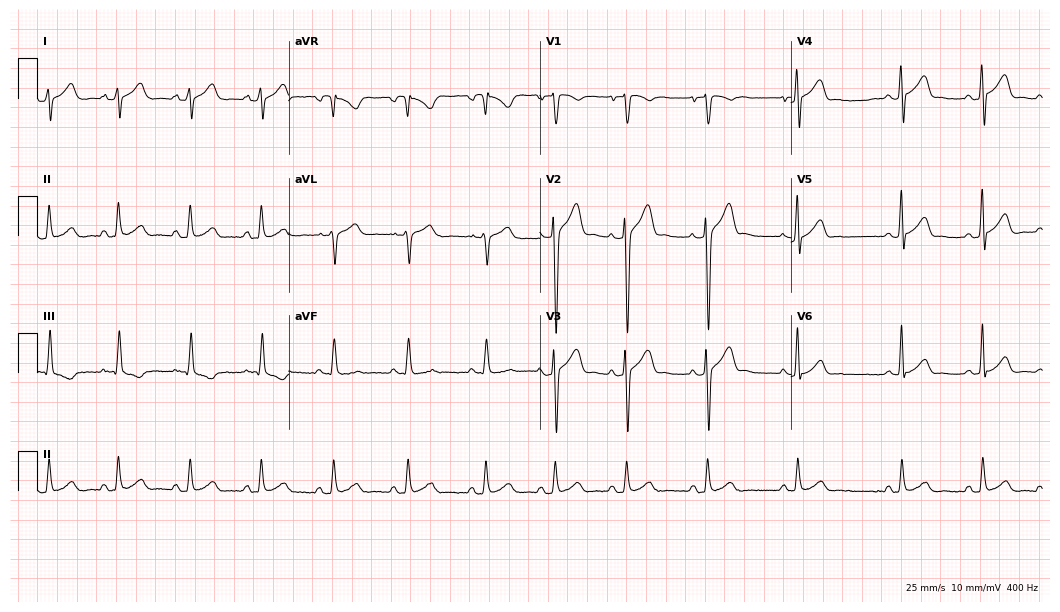
12-lead ECG from a woman, 25 years old. Screened for six findings — first-degree AV block, right bundle branch block, left bundle branch block, sinus bradycardia, atrial fibrillation, sinus tachycardia — none is recorded. Findings outside these six are not listed.